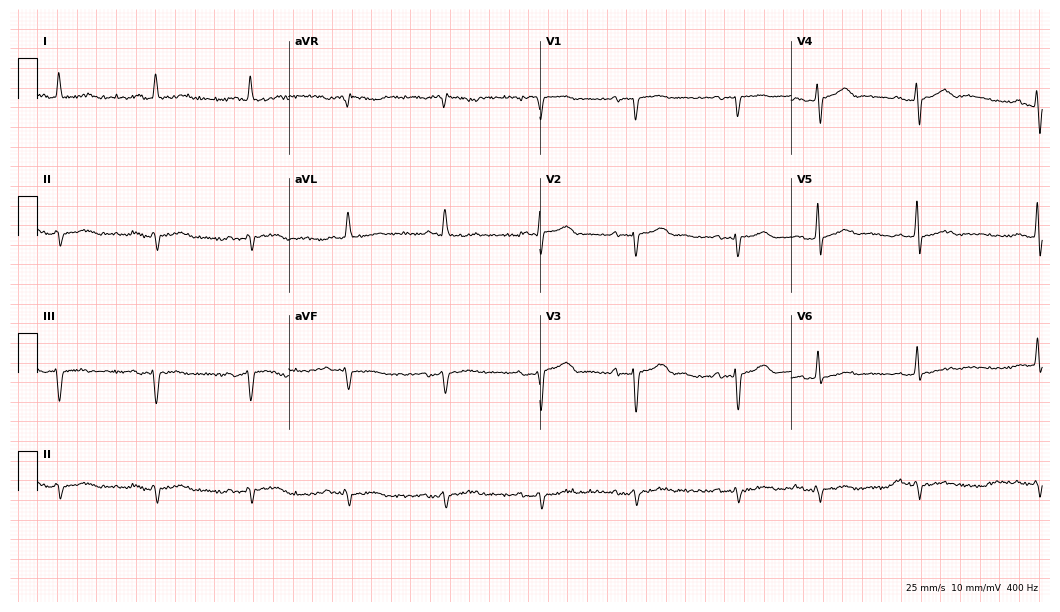
Electrocardiogram, a male, 78 years old. Of the six screened findings (first-degree AV block, right bundle branch block, left bundle branch block, sinus bradycardia, atrial fibrillation, sinus tachycardia), none is recorded. Other findings, if any, are not listed.